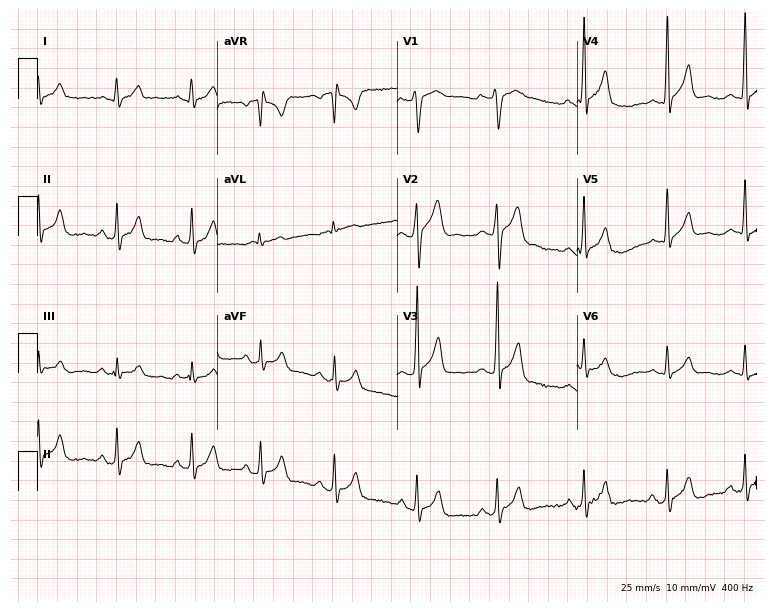
12-lead ECG from a 21-year-old male patient. Screened for six findings — first-degree AV block, right bundle branch block, left bundle branch block, sinus bradycardia, atrial fibrillation, sinus tachycardia — none is recorded.